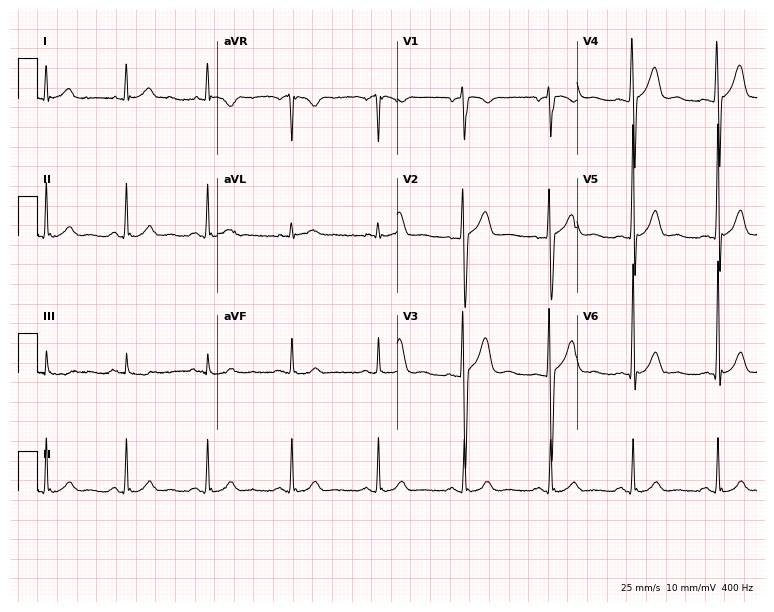
Standard 12-lead ECG recorded from a male, 44 years old. None of these six findings is recorded: first-degree AV block, right bundle branch block, left bundle branch block, sinus bradycardia, atrial fibrillation, sinus tachycardia. Findings outside these six are not listed.